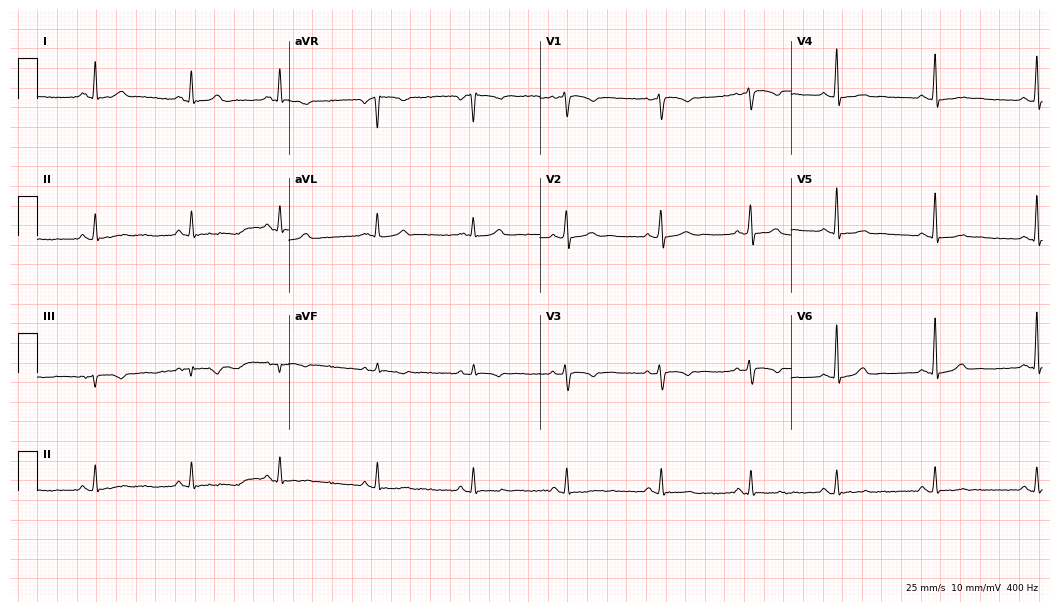
12-lead ECG (10.2-second recording at 400 Hz) from a woman, 46 years old. Screened for six findings — first-degree AV block, right bundle branch block, left bundle branch block, sinus bradycardia, atrial fibrillation, sinus tachycardia — none is recorded.